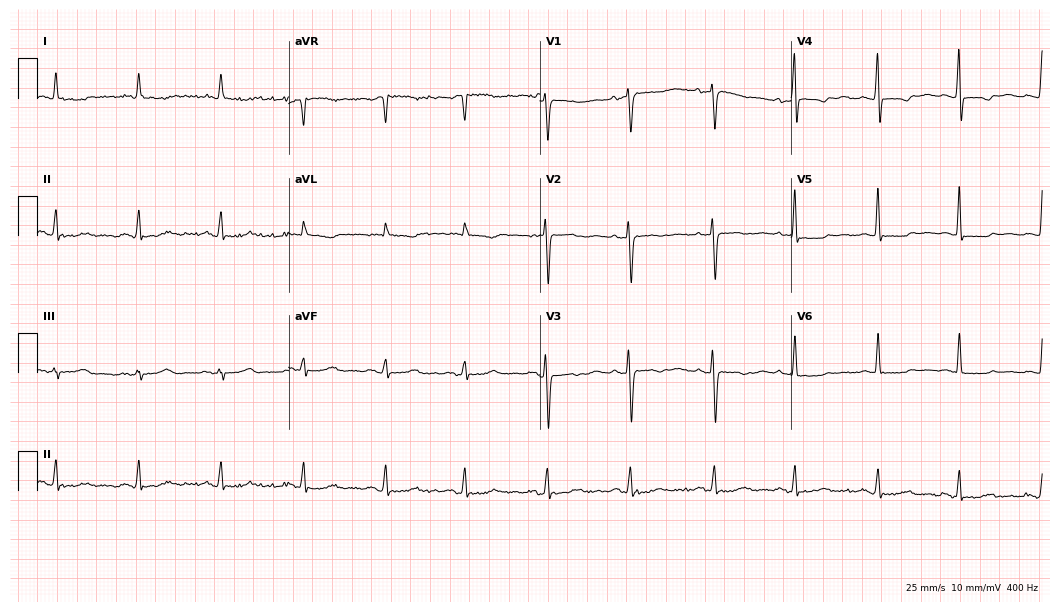
Electrocardiogram, a woman, 83 years old. Of the six screened findings (first-degree AV block, right bundle branch block (RBBB), left bundle branch block (LBBB), sinus bradycardia, atrial fibrillation (AF), sinus tachycardia), none is recorded. Only these six findings were labelled.